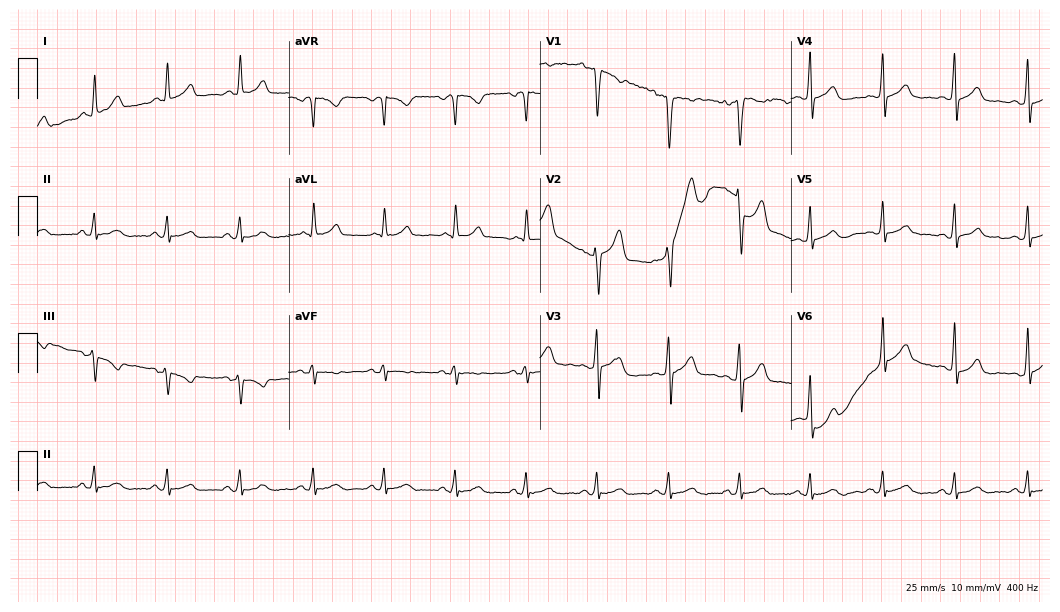
12-lead ECG from a 48-year-old man (10.2-second recording at 400 Hz). Recorded interpretation: within normal limits.